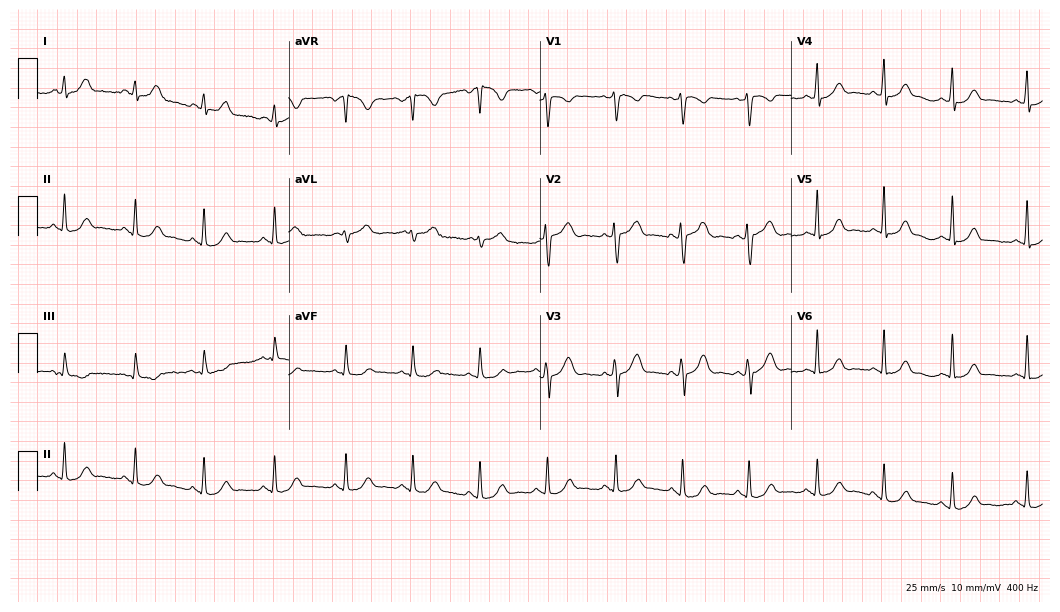
Resting 12-lead electrocardiogram (10.2-second recording at 400 Hz). Patient: a female, 31 years old. Read as a normal ECG.